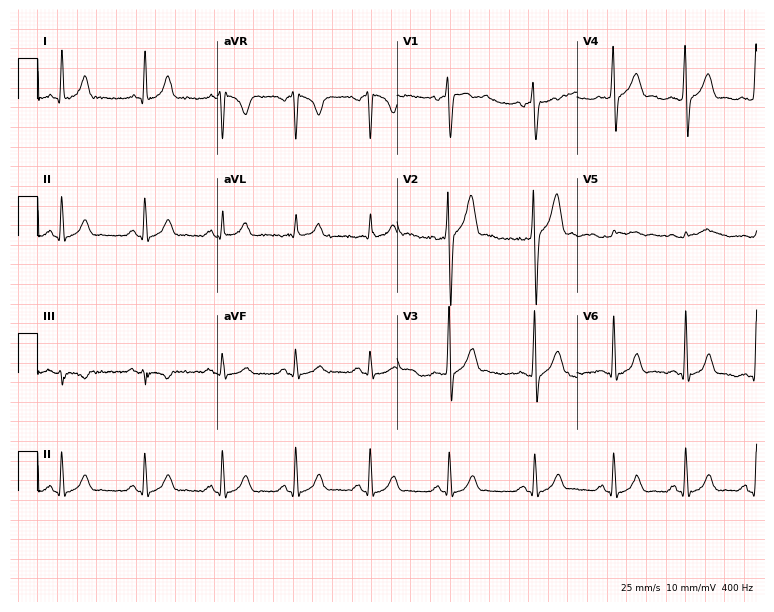
Electrocardiogram, a male, 28 years old. Overall reading on record: normal ECG.